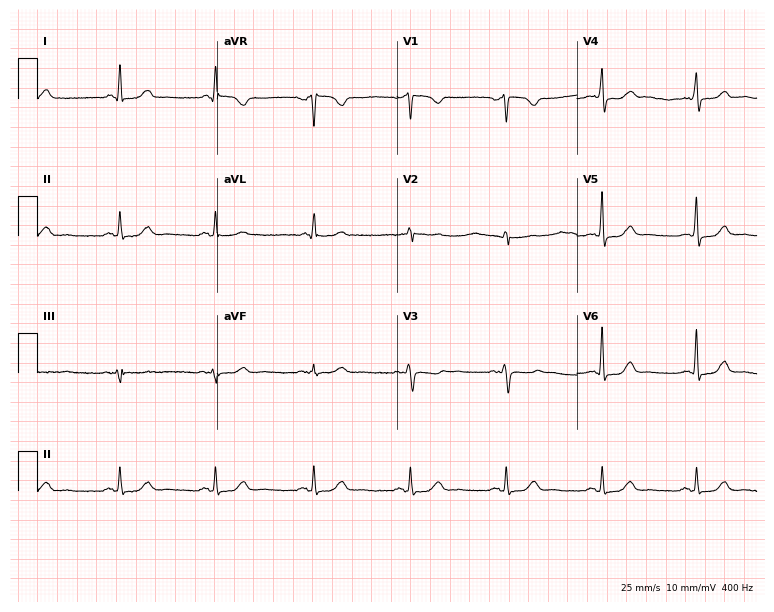
Standard 12-lead ECG recorded from a female, 58 years old. Read as a normal ECG.